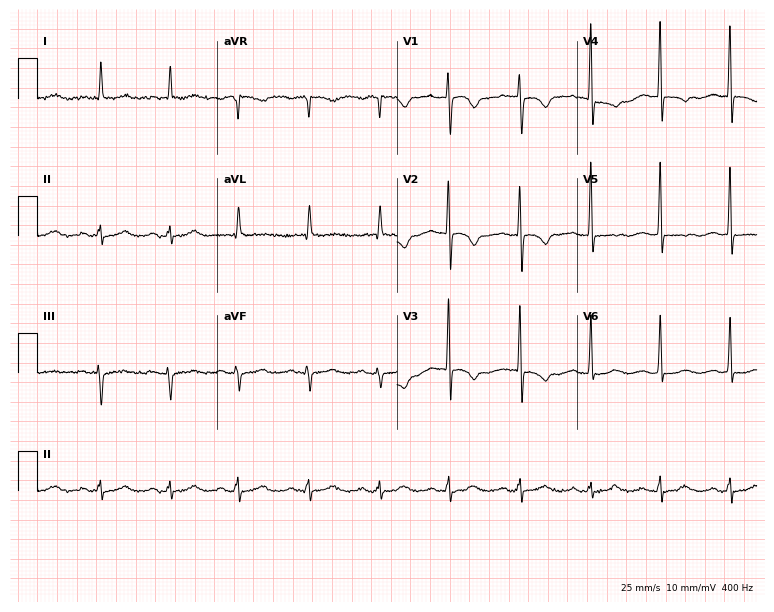
12-lead ECG (7.3-second recording at 400 Hz) from a woman, 80 years old. Labelled as a normal ECG.